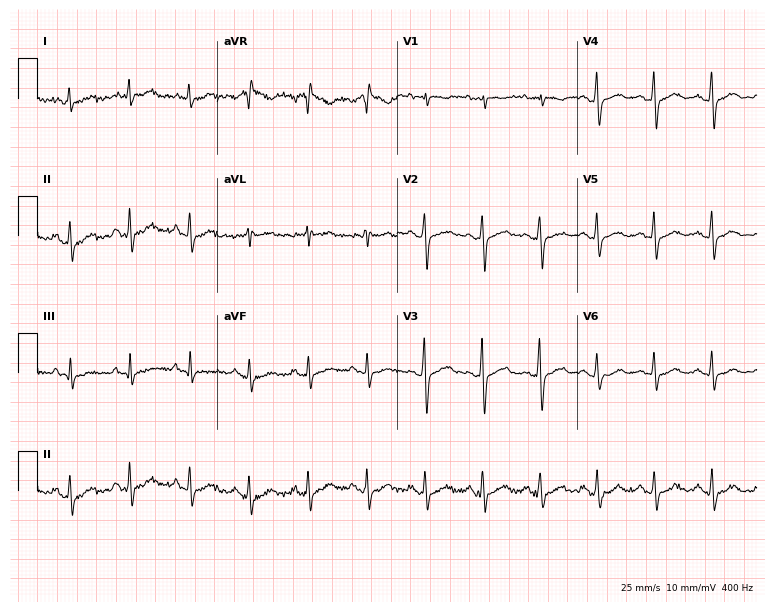
Resting 12-lead electrocardiogram (7.3-second recording at 400 Hz). Patient: a 51-year-old man. Read as a normal ECG.